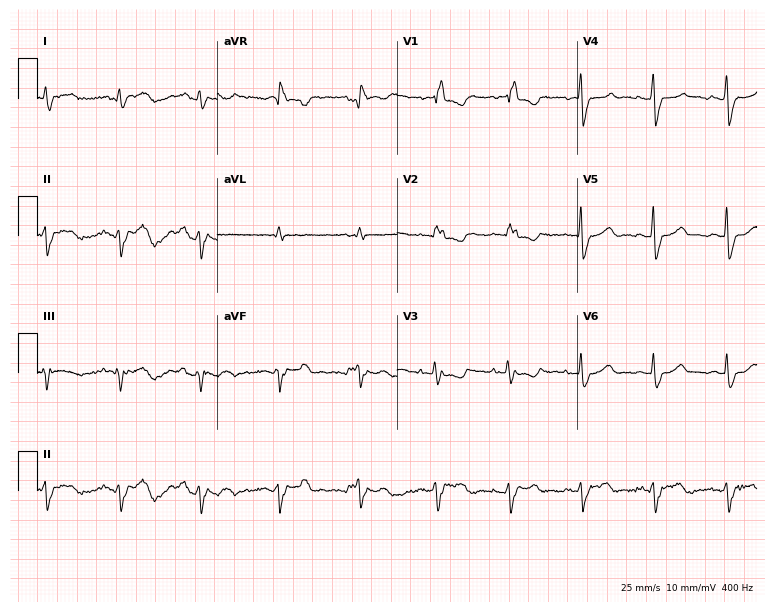
ECG (7.3-second recording at 400 Hz) — a 47-year-old woman. Findings include right bundle branch block.